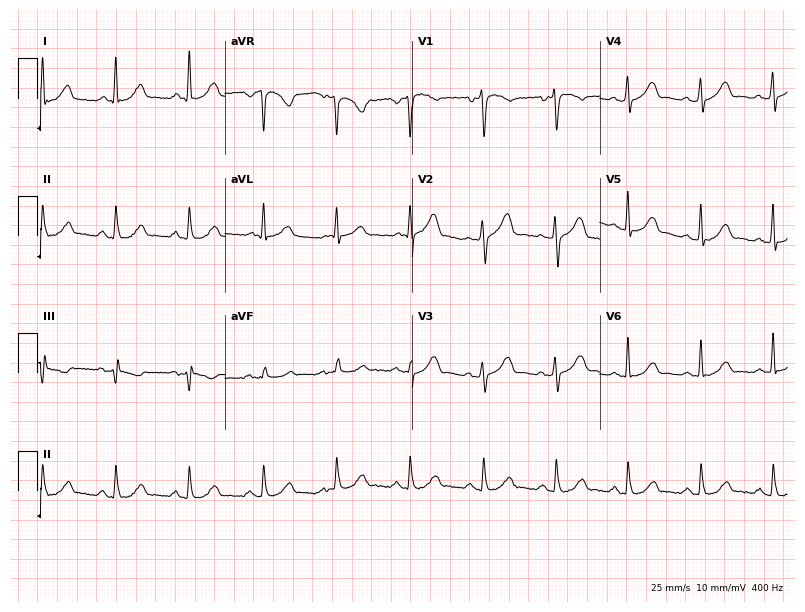
Resting 12-lead electrocardiogram (7.6-second recording at 400 Hz). Patient: a female, 70 years old. None of these six findings is recorded: first-degree AV block, right bundle branch block, left bundle branch block, sinus bradycardia, atrial fibrillation, sinus tachycardia. Other findings, if any, are not listed.